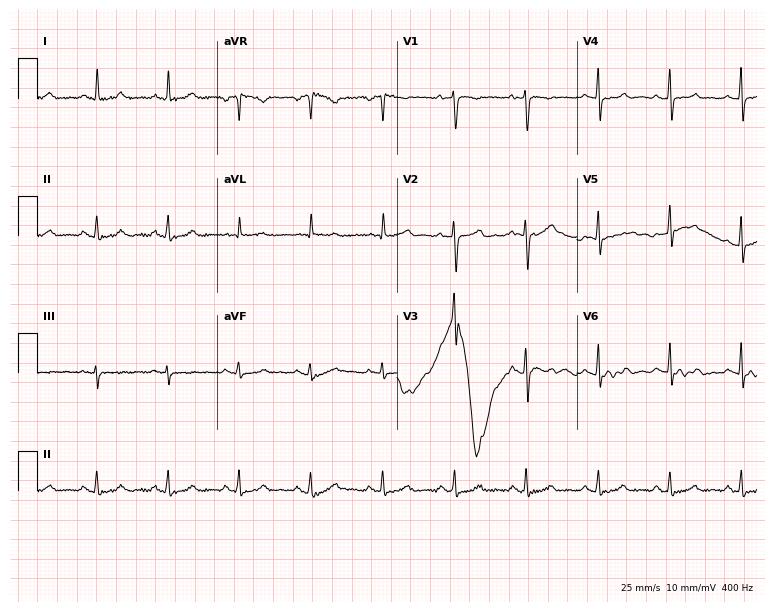
12-lead ECG from a female, 57 years old. Labelled as a normal ECG.